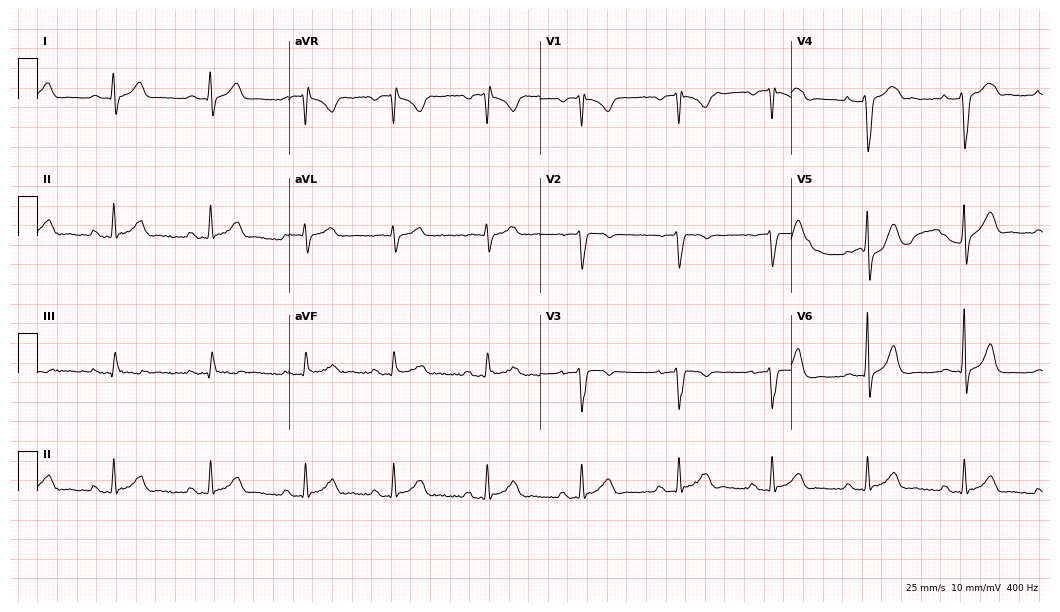
Resting 12-lead electrocardiogram. Patient: a 28-year-old man. None of these six findings is recorded: first-degree AV block, right bundle branch block, left bundle branch block, sinus bradycardia, atrial fibrillation, sinus tachycardia. Only these six findings were labelled.